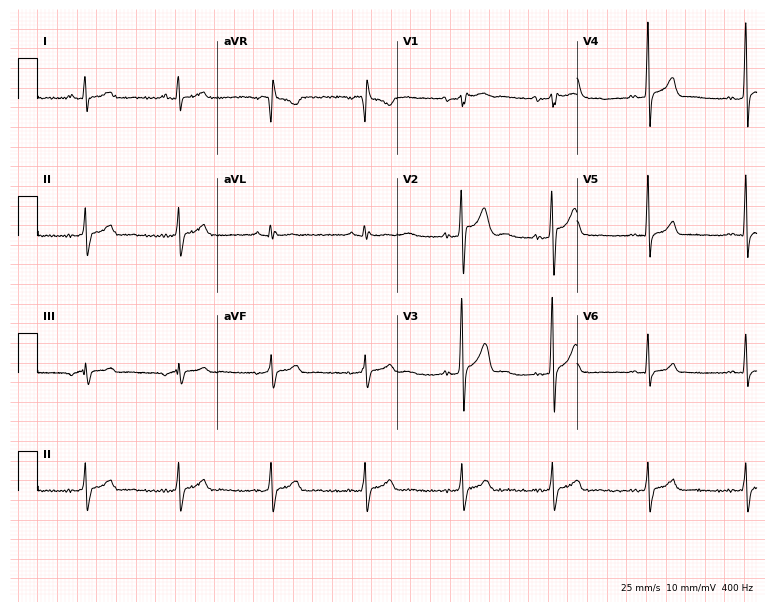
Standard 12-lead ECG recorded from a 22-year-old man (7.3-second recording at 400 Hz). Read as a normal ECG.